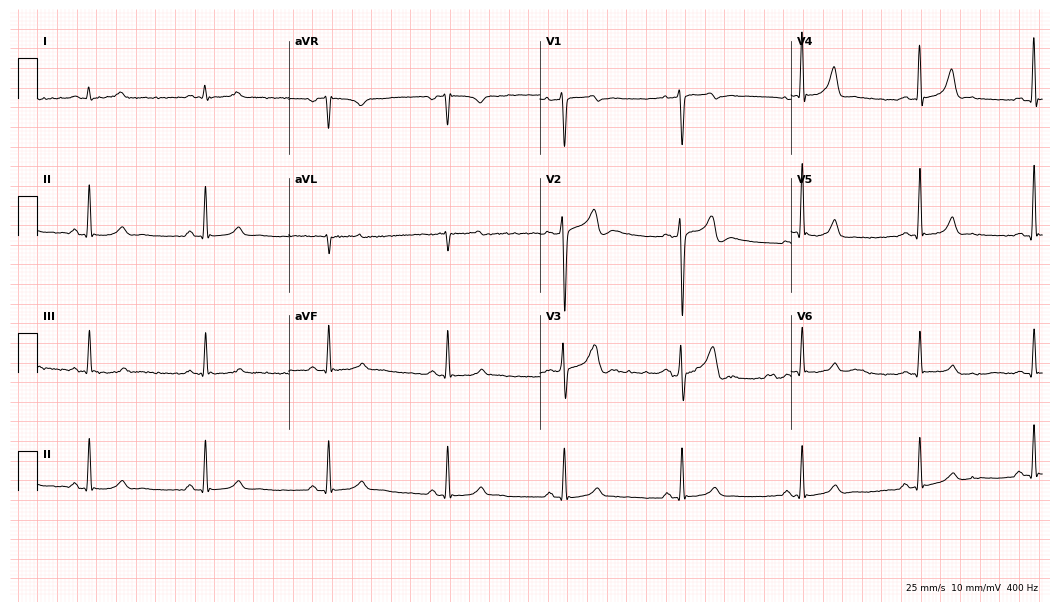
12-lead ECG from a 33-year-old male patient. Findings include sinus bradycardia (a sinus rate of 50 beats per minute or less).